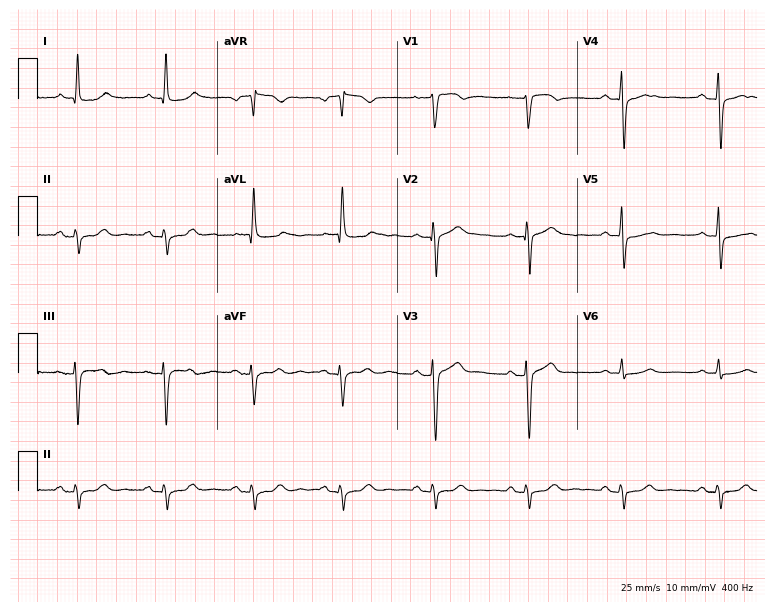
Standard 12-lead ECG recorded from a male, 77 years old (7.3-second recording at 400 Hz). Read as a normal ECG.